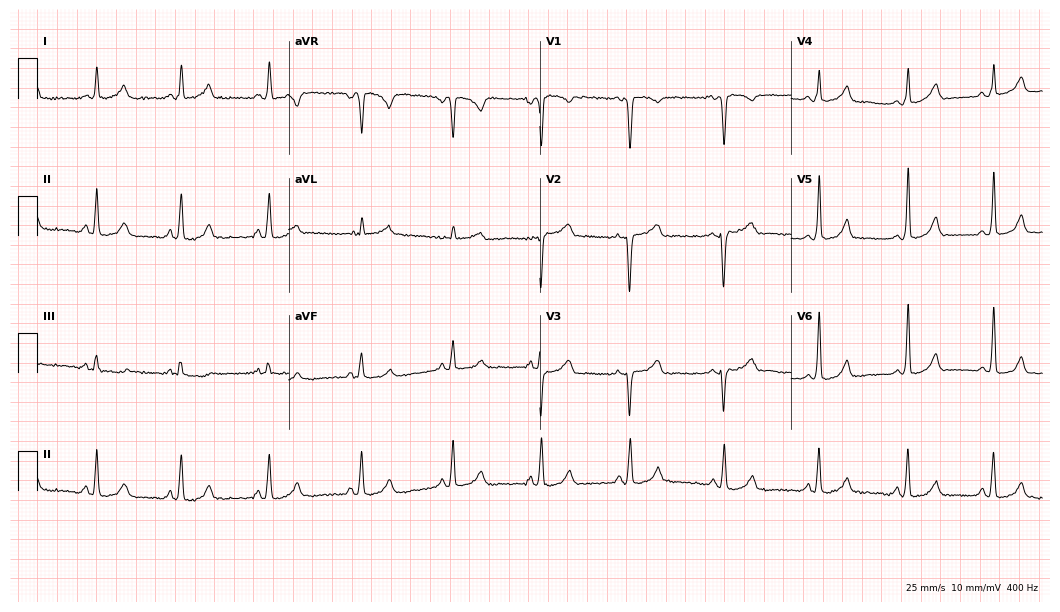
Standard 12-lead ECG recorded from a female patient, 43 years old (10.2-second recording at 400 Hz). None of these six findings is recorded: first-degree AV block, right bundle branch block, left bundle branch block, sinus bradycardia, atrial fibrillation, sinus tachycardia. Other findings, if any, are not listed.